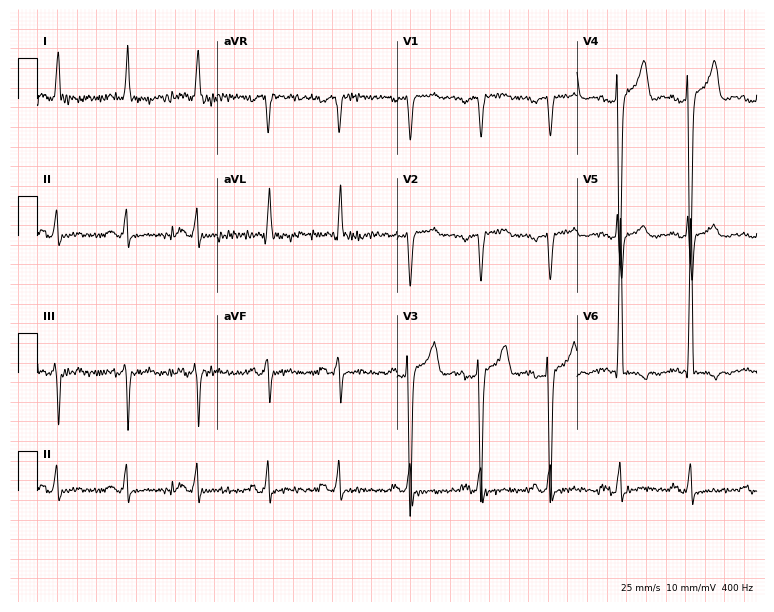
12-lead ECG from a 51-year-old male patient. No first-degree AV block, right bundle branch block, left bundle branch block, sinus bradycardia, atrial fibrillation or sinus tachycardia recorded for this tracing.